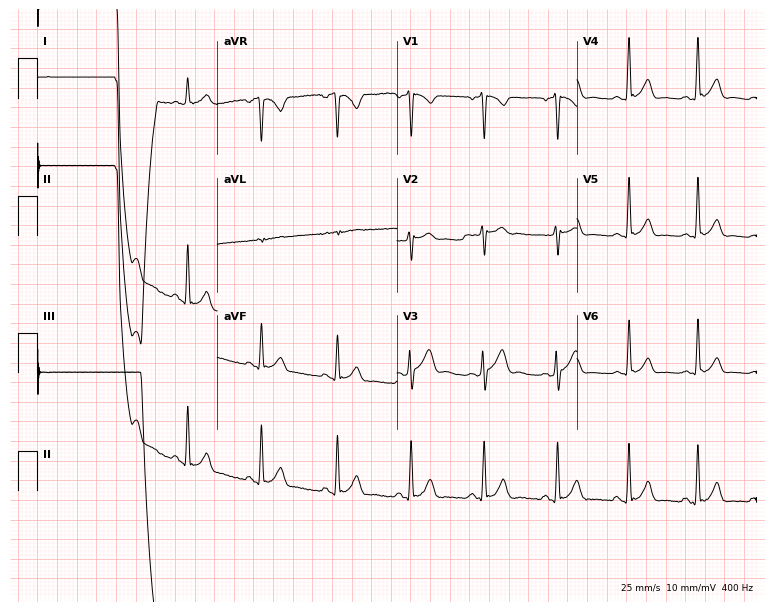
ECG — a male patient, 29 years old. Screened for six findings — first-degree AV block, right bundle branch block (RBBB), left bundle branch block (LBBB), sinus bradycardia, atrial fibrillation (AF), sinus tachycardia — none is recorded. Only these six findings were labelled.